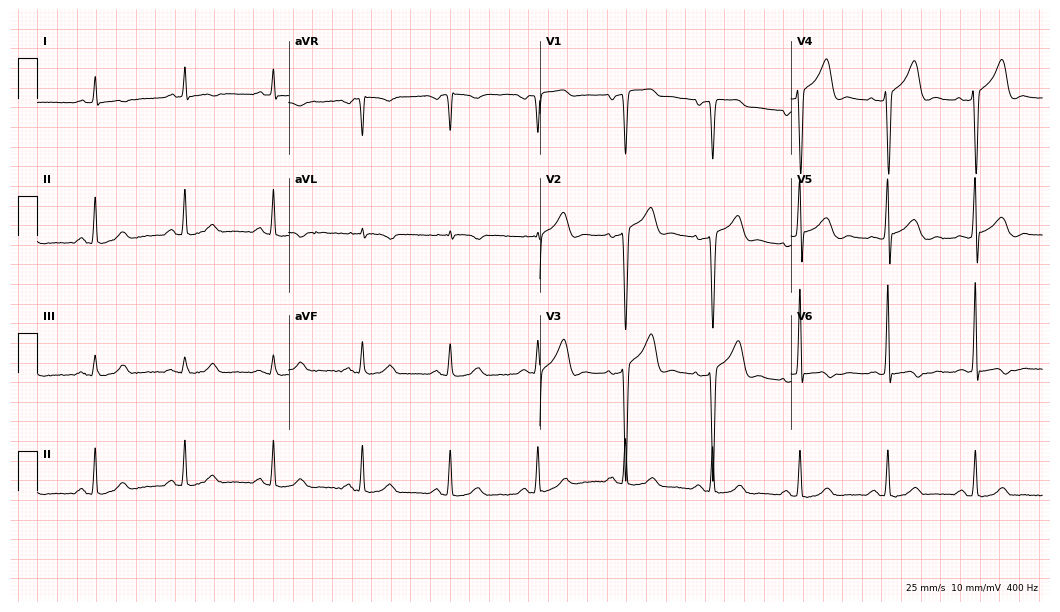
Resting 12-lead electrocardiogram. Patient: a male, 43 years old. None of these six findings is recorded: first-degree AV block, right bundle branch block, left bundle branch block, sinus bradycardia, atrial fibrillation, sinus tachycardia. Findings outside these six are not listed.